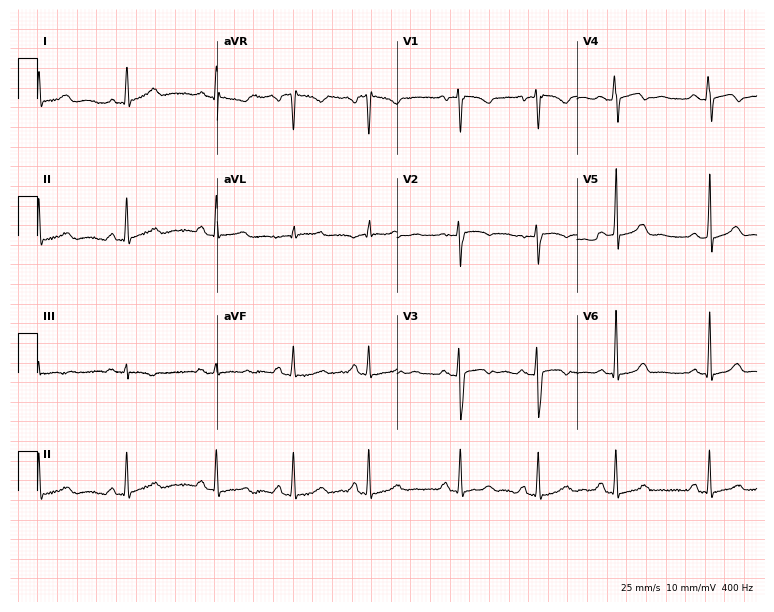
ECG (7.3-second recording at 400 Hz) — a 20-year-old female patient. Labelled as a normal ECG.